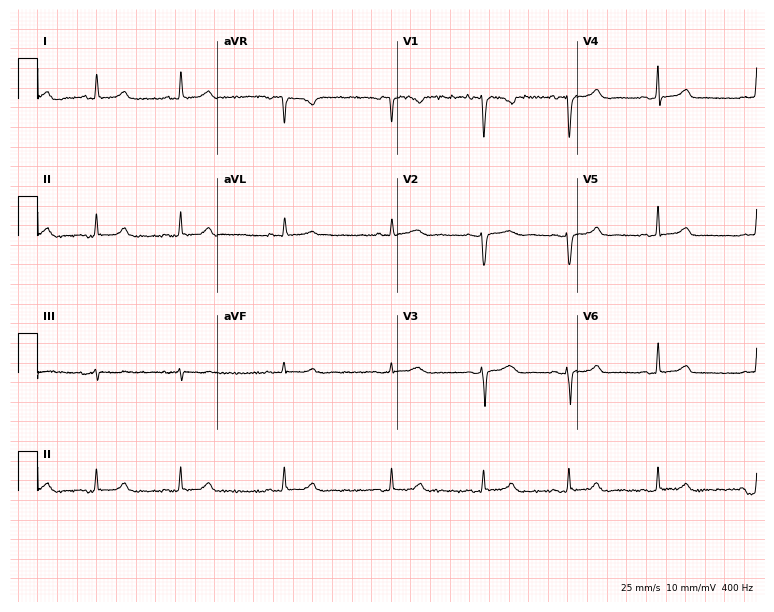
Standard 12-lead ECG recorded from a 29-year-old female patient (7.3-second recording at 400 Hz). None of these six findings is recorded: first-degree AV block, right bundle branch block (RBBB), left bundle branch block (LBBB), sinus bradycardia, atrial fibrillation (AF), sinus tachycardia.